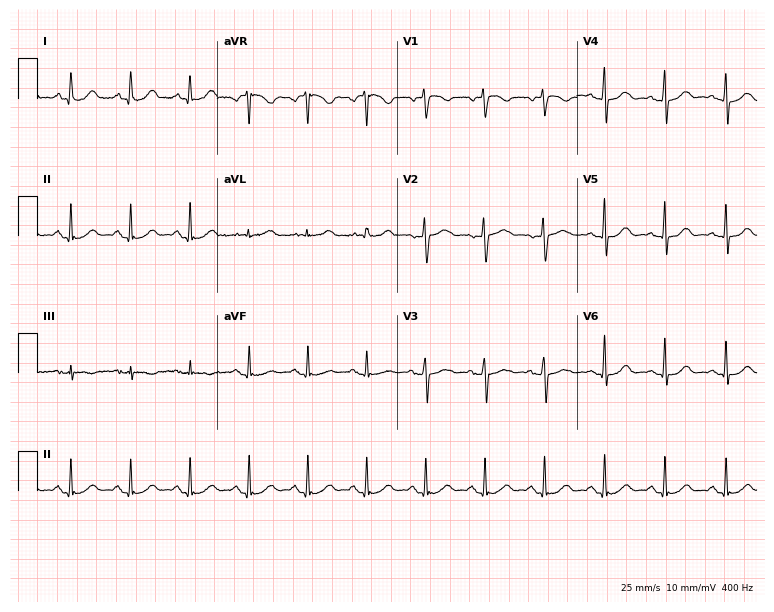
ECG — a 52-year-old female. Labelled as a normal ECG.